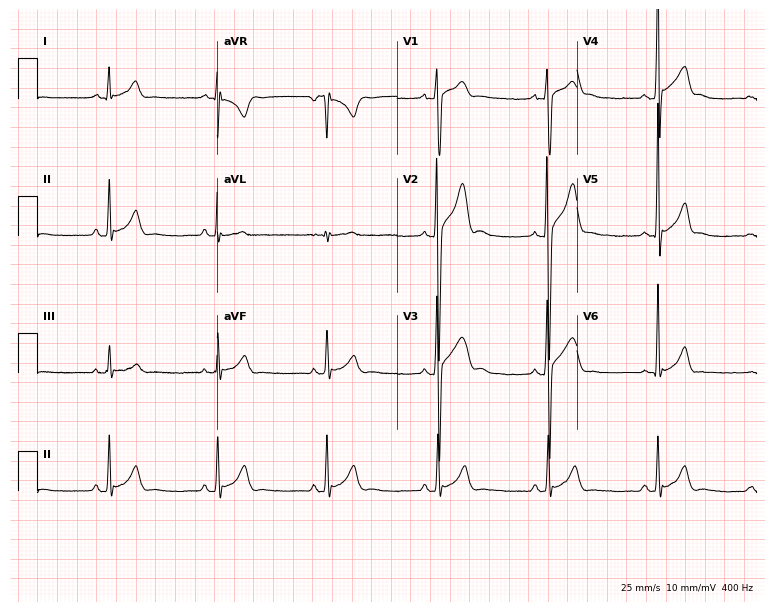
12-lead ECG from a male patient, 19 years old (7.3-second recording at 400 Hz). No first-degree AV block, right bundle branch block, left bundle branch block, sinus bradycardia, atrial fibrillation or sinus tachycardia recorded for this tracing. Other findings, if any, are not listed.